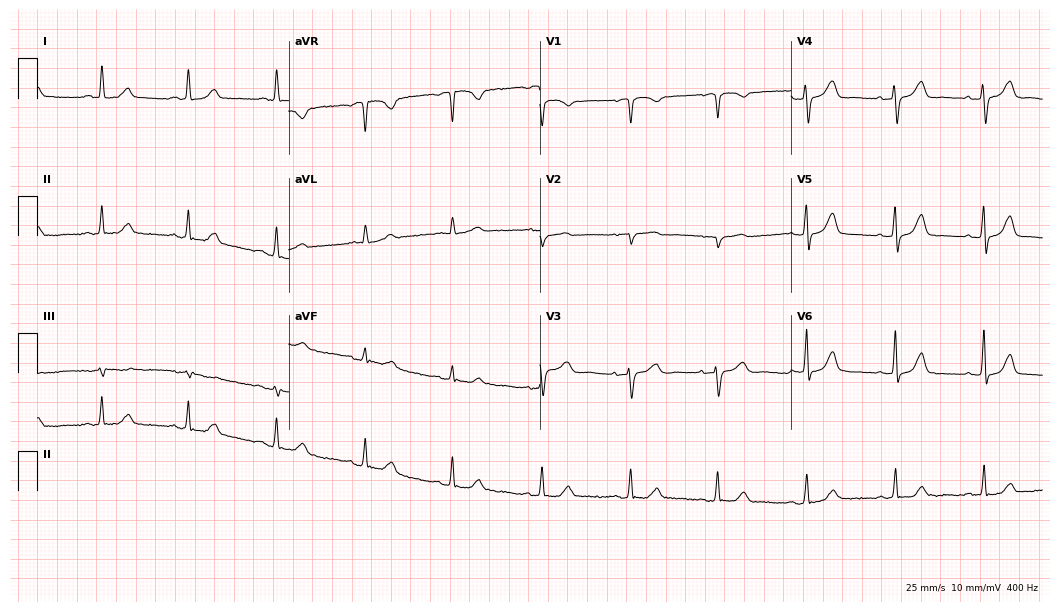
Electrocardiogram (10.2-second recording at 400 Hz), a female patient, 68 years old. Overall reading on record: normal ECG.